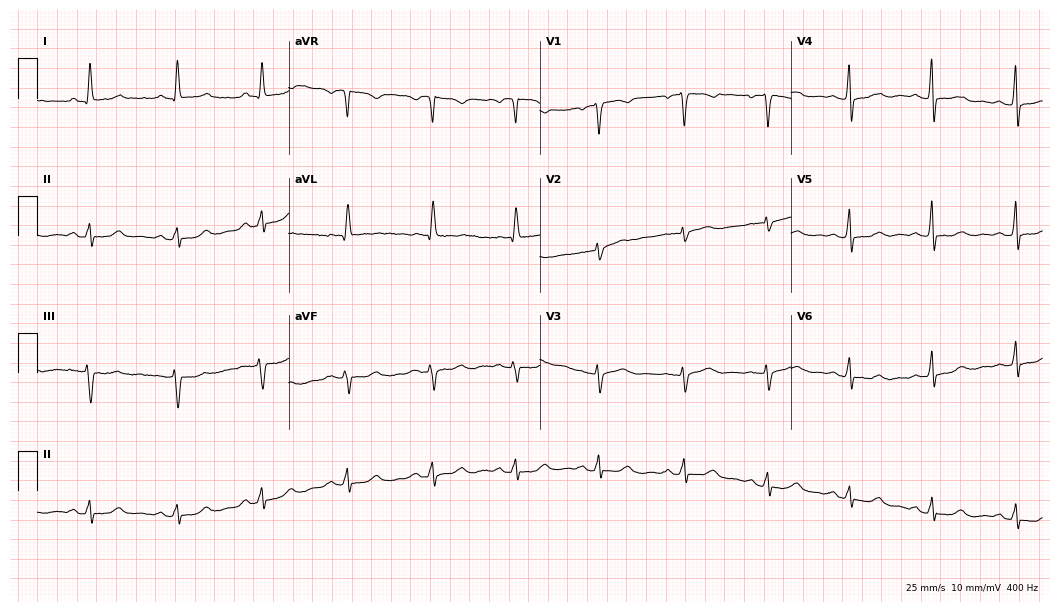
Resting 12-lead electrocardiogram. Patient: a 49-year-old woman. Read as a normal ECG.